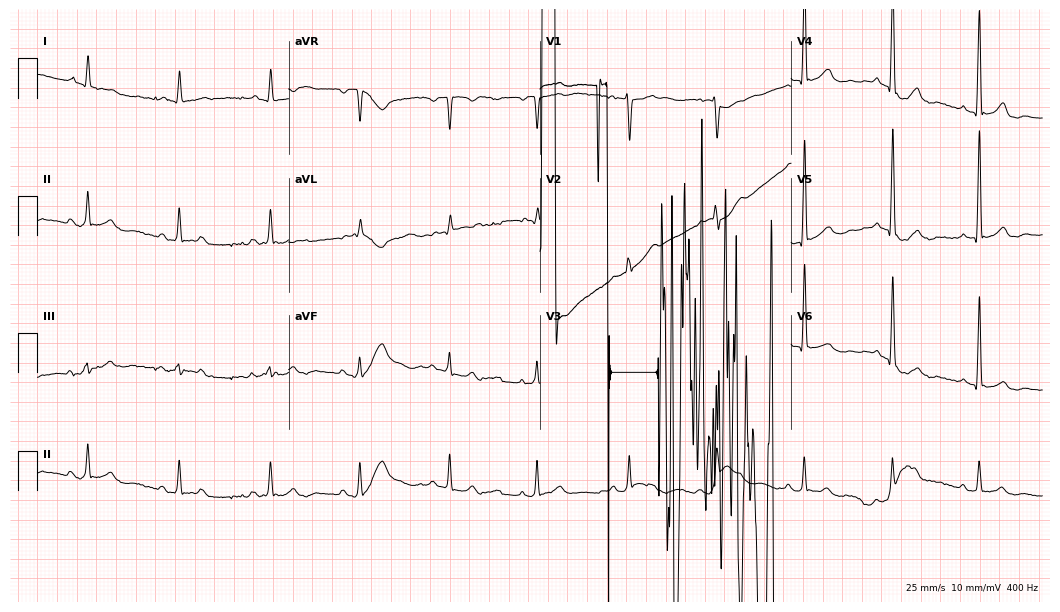
Electrocardiogram (10.2-second recording at 400 Hz), a male patient, 70 years old. Of the six screened findings (first-degree AV block, right bundle branch block, left bundle branch block, sinus bradycardia, atrial fibrillation, sinus tachycardia), none is recorded.